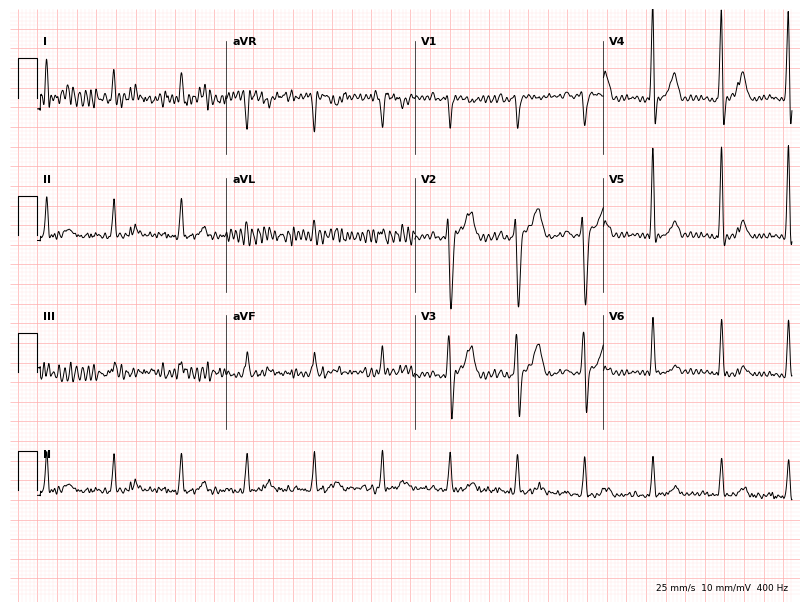
Resting 12-lead electrocardiogram. Patient: a male, 71 years old. None of these six findings is recorded: first-degree AV block, right bundle branch block, left bundle branch block, sinus bradycardia, atrial fibrillation, sinus tachycardia.